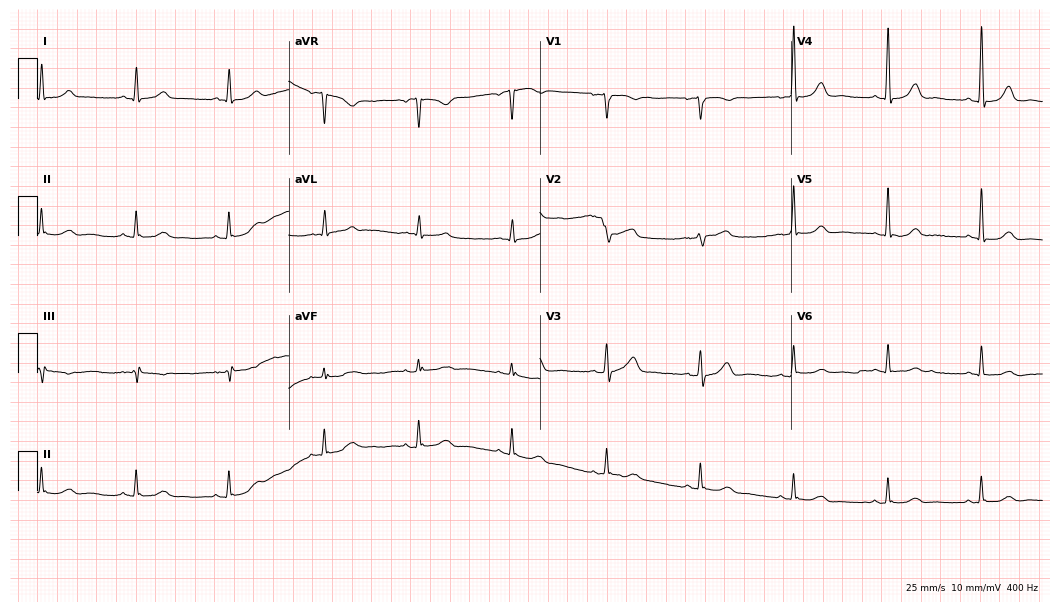
ECG (10.2-second recording at 400 Hz) — a woman, 56 years old. Labelled as a normal ECG.